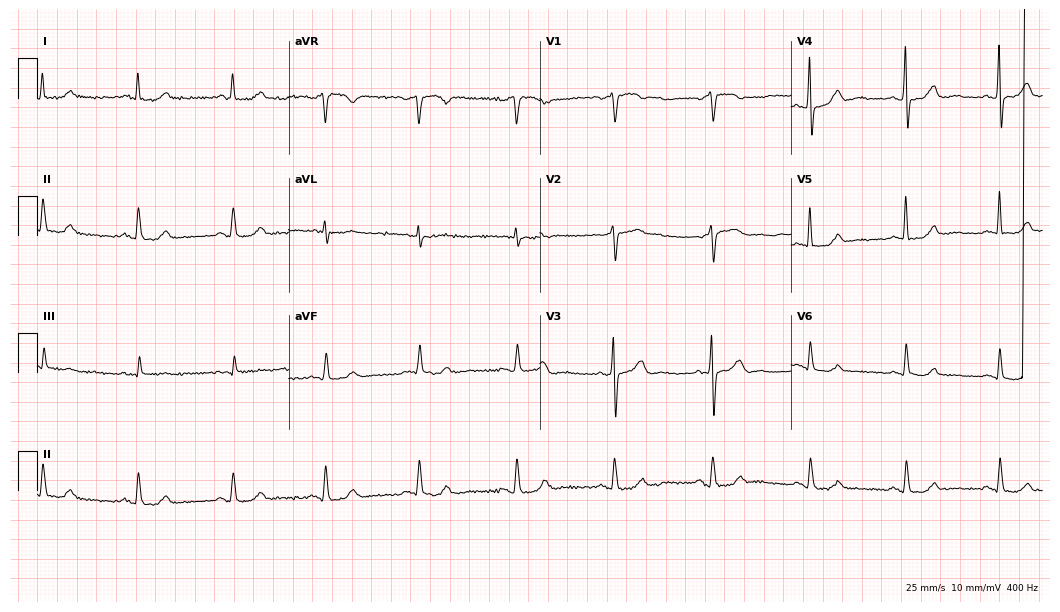
12-lead ECG from a 60-year-old female patient (10.2-second recording at 400 Hz). No first-degree AV block, right bundle branch block, left bundle branch block, sinus bradycardia, atrial fibrillation or sinus tachycardia recorded for this tracing. Other findings, if any, are not listed.